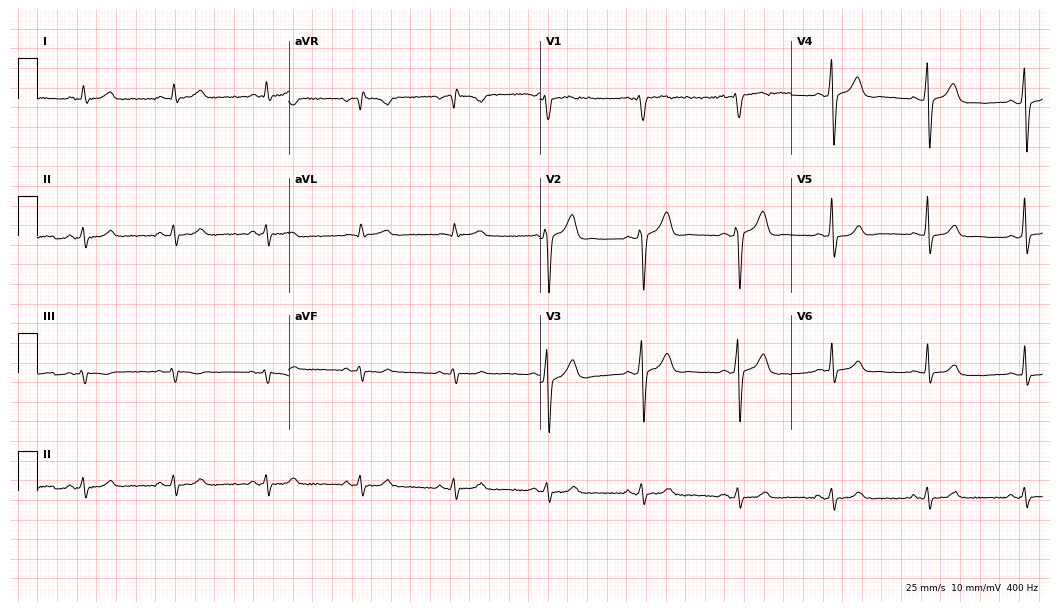
Standard 12-lead ECG recorded from a 39-year-old male patient (10.2-second recording at 400 Hz). None of these six findings is recorded: first-degree AV block, right bundle branch block, left bundle branch block, sinus bradycardia, atrial fibrillation, sinus tachycardia.